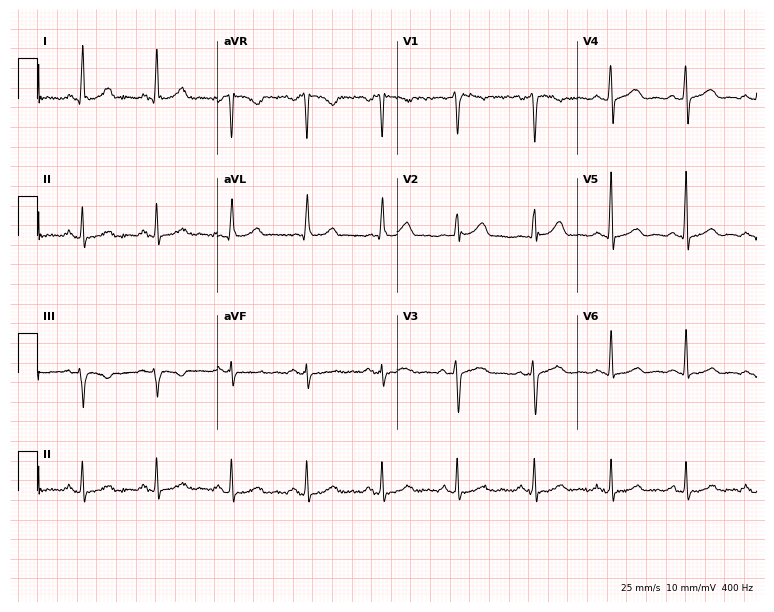
Electrocardiogram, a 48-year-old male. Overall reading on record: normal ECG.